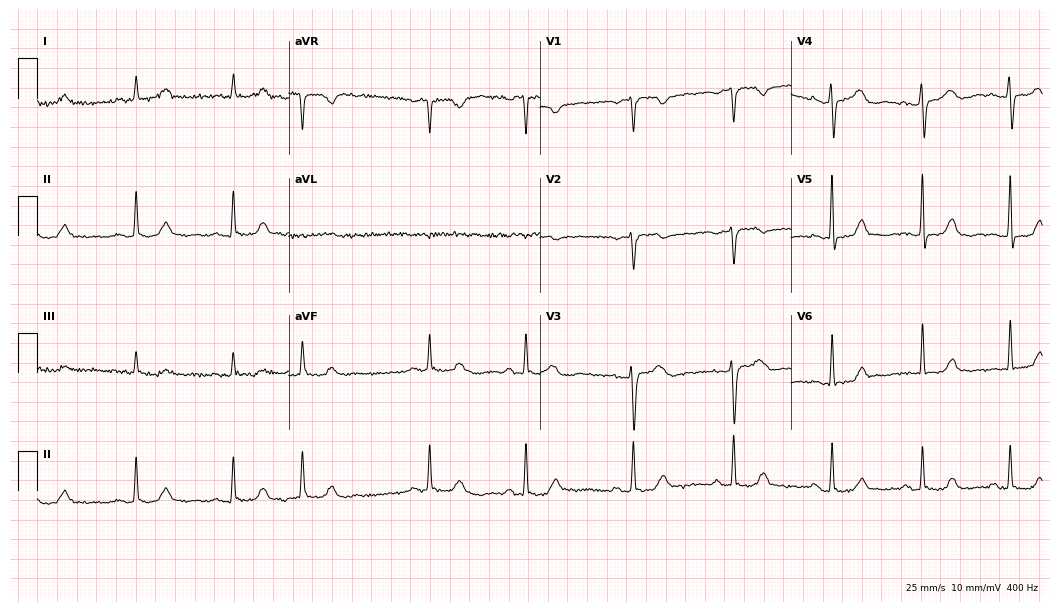
Resting 12-lead electrocardiogram. Patient: a woman, 60 years old. None of these six findings is recorded: first-degree AV block, right bundle branch block (RBBB), left bundle branch block (LBBB), sinus bradycardia, atrial fibrillation (AF), sinus tachycardia. Other findings, if any, are not listed.